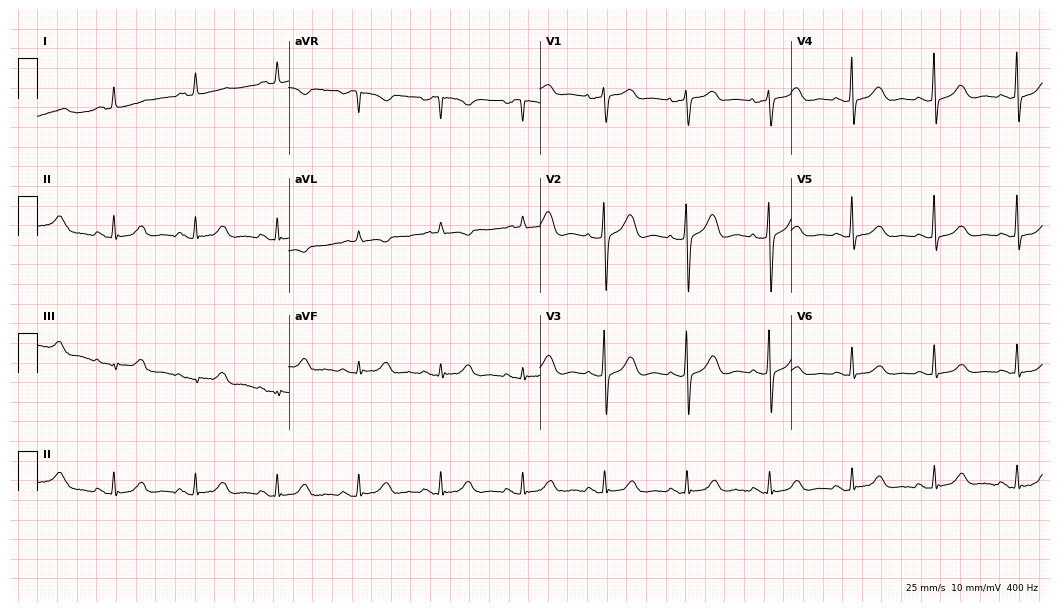
Electrocardiogram, a 79-year-old woman. Overall reading on record: normal ECG.